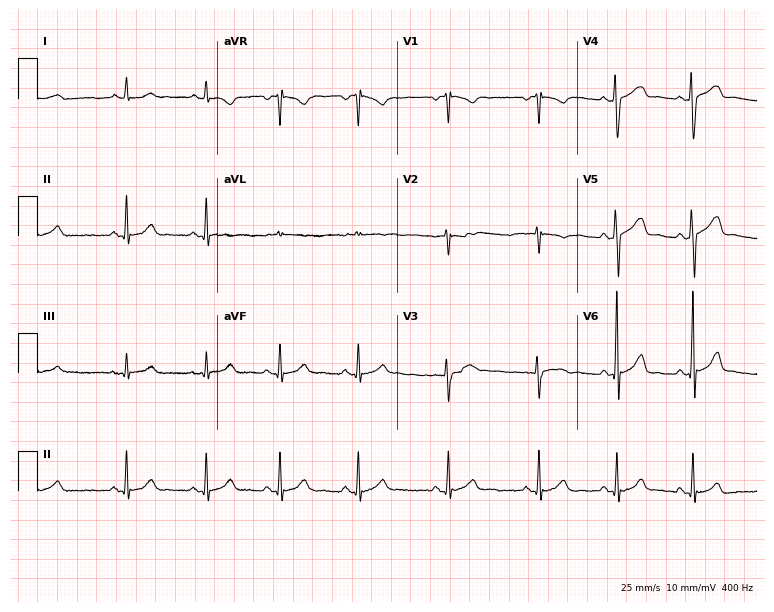
Standard 12-lead ECG recorded from a 28-year-old female. Read as a normal ECG.